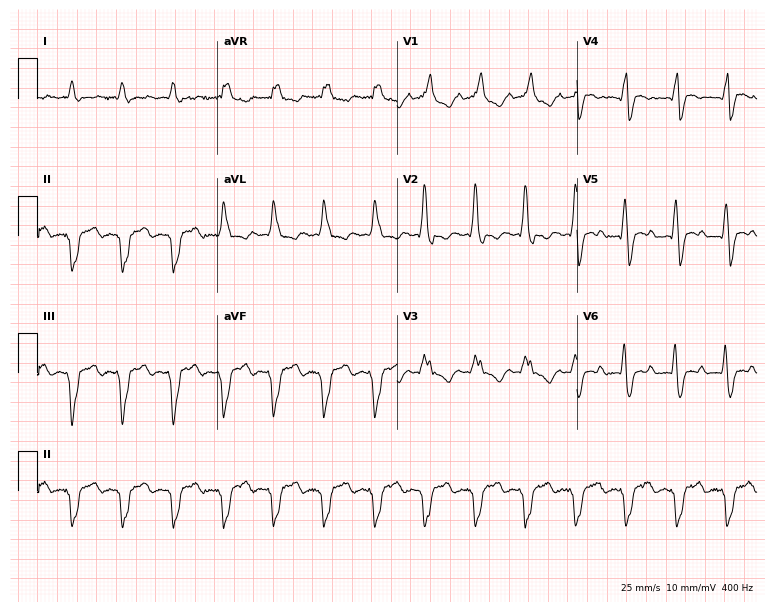
Resting 12-lead electrocardiogram (7.3-second recording at 400 Hz). Patient: a man, 50 years old. The tracing shows right bundle branch block (RBBB).